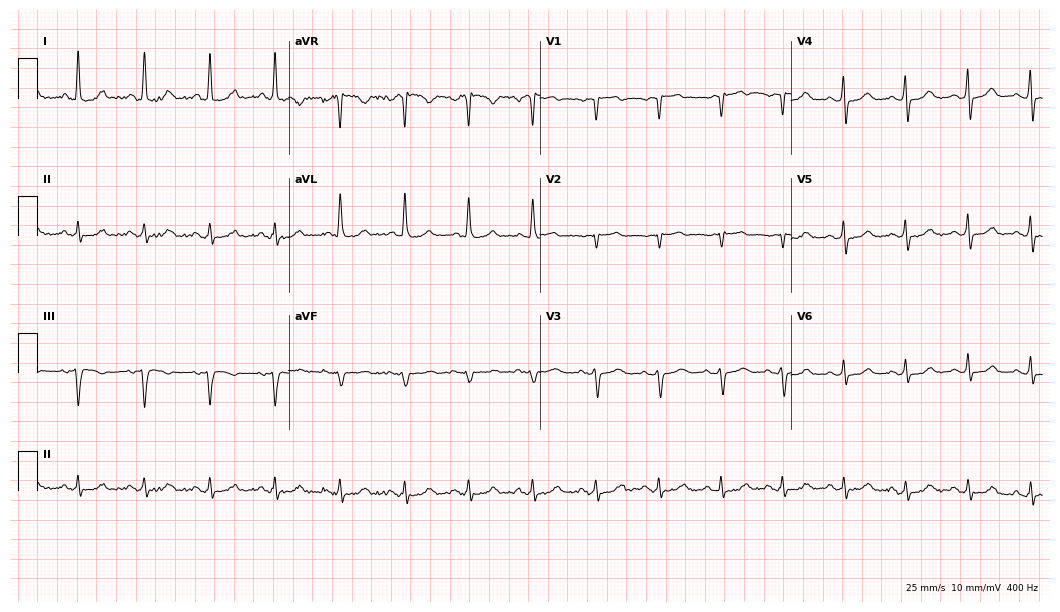
Standard 12-lead ECG recorded from a 52-year-old female (10.2-second recording at 400 Hz). None of these six findings is recorded: first-degree AV block, right bundle branch block, left bundle branch block, sinus bradycardia, atrial fibrillation, sinus tachycardia.